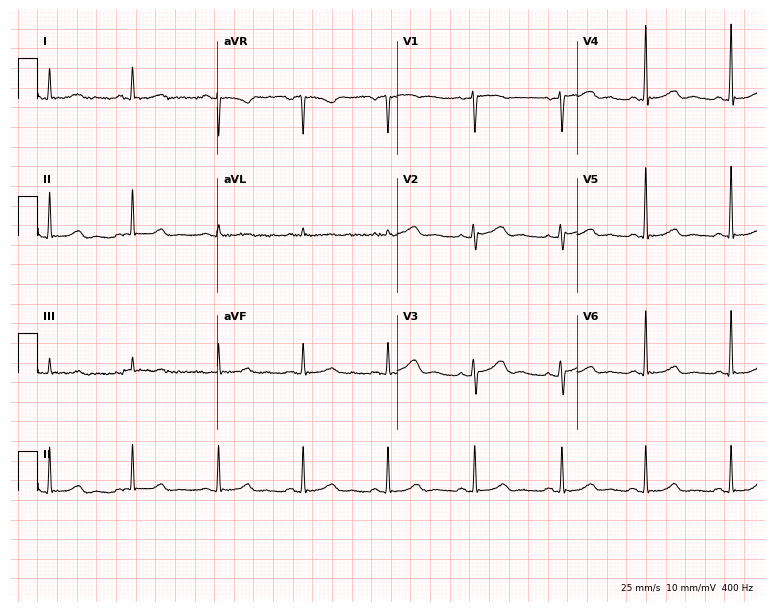
Electrocardiogram, a female, 57 years old. Overall reading on record: normal ECG.